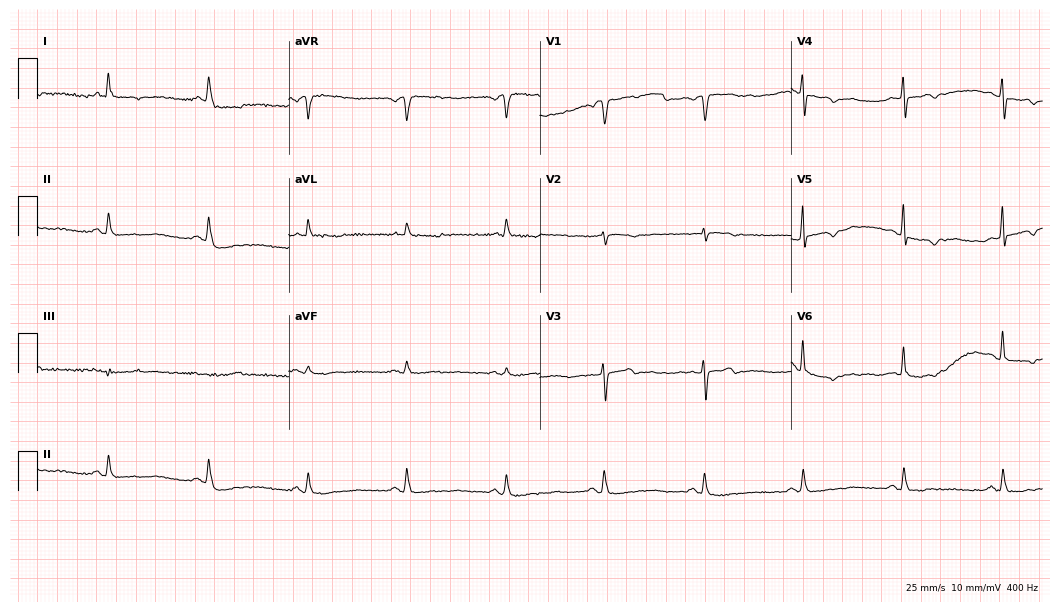
12-lead ECG from a man, 83 years old. No first-degree AV block, right bundle branch block, left bundle branch block, sinus bradycardia, atrial fibrillation or sinus tachycardia recorded for this tracing. Findings outside these six are not listed.